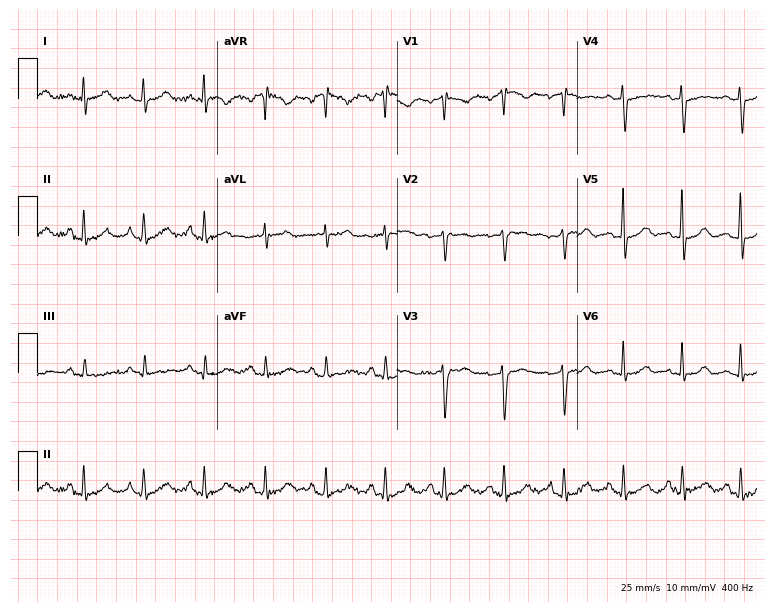
Electrocardiogram, a 66-year-old female. Of the six screened findings (first-degree AV block, right bundle branch block, left bundle branch block, sinus bradycardia, atrial fibrillation, sinus tachycardia), none is recorded.